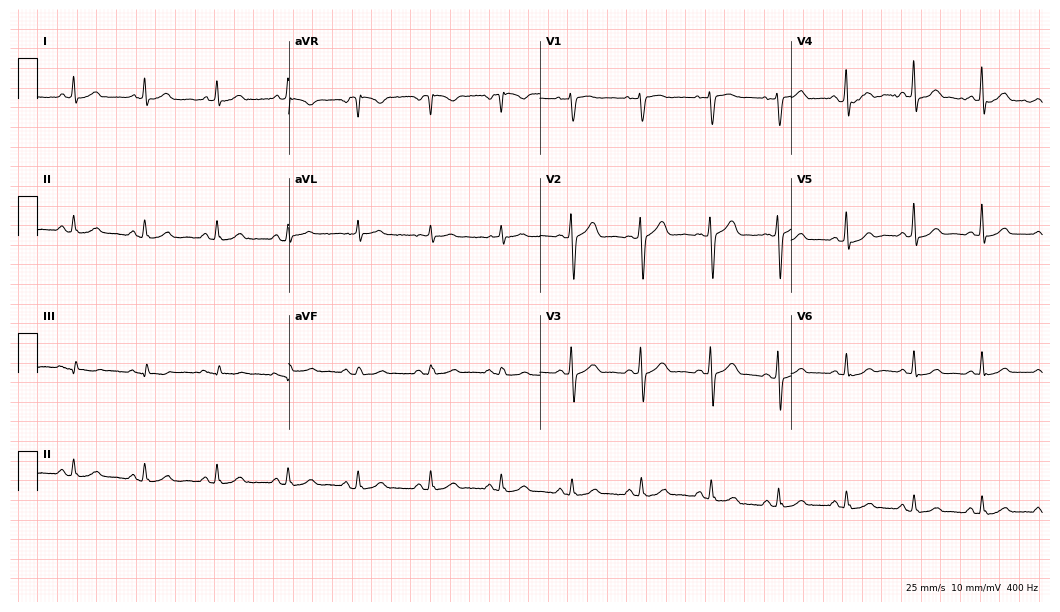
Standard 12-lead ECG recorded from a female patient, 58 years old. Read as a normal ECG.